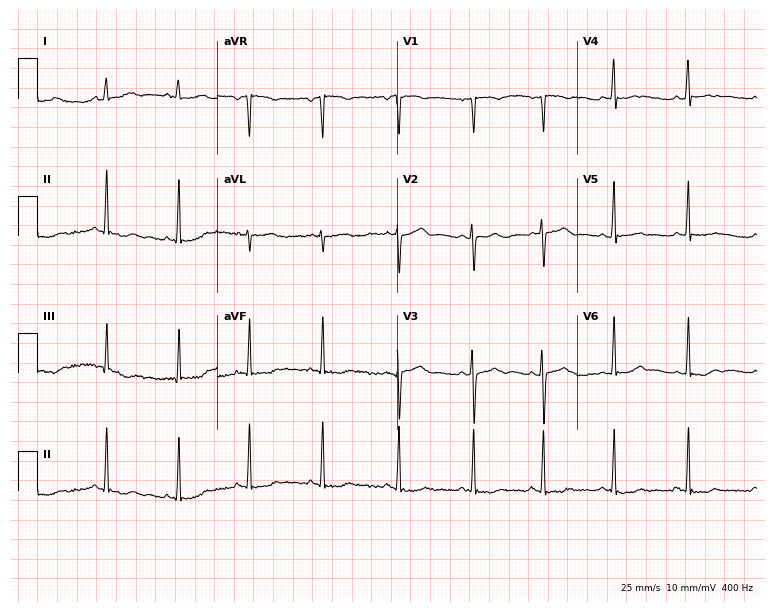
Resting 12-lead electrocardiogram. Patient: an 18-year-old female. None of these six findings is recorded: first-degree AV block, right bundle branch block, left bundle branch block, sinus bradycardia, atrial fibrillation, sinus tachycardia. Other findings, if any, are not listed.